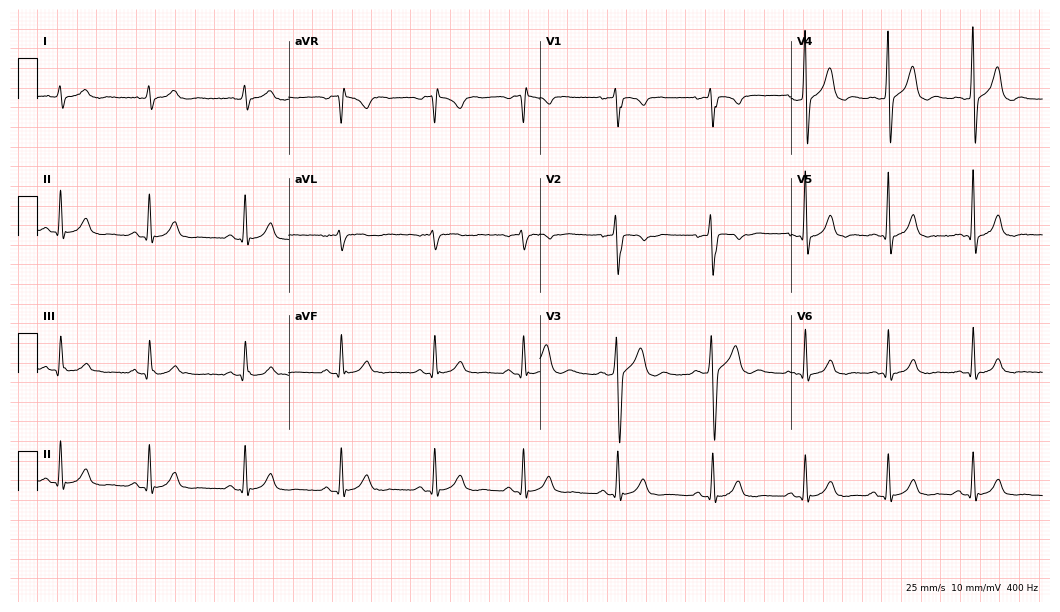
ECG — a 25-year-old man. Screened for six findings — first-degree AV block, right bundle branch block, left bundle branch block, sinus bradycardia, atrial fibrillation, sinus tachycardia — none is recorded.